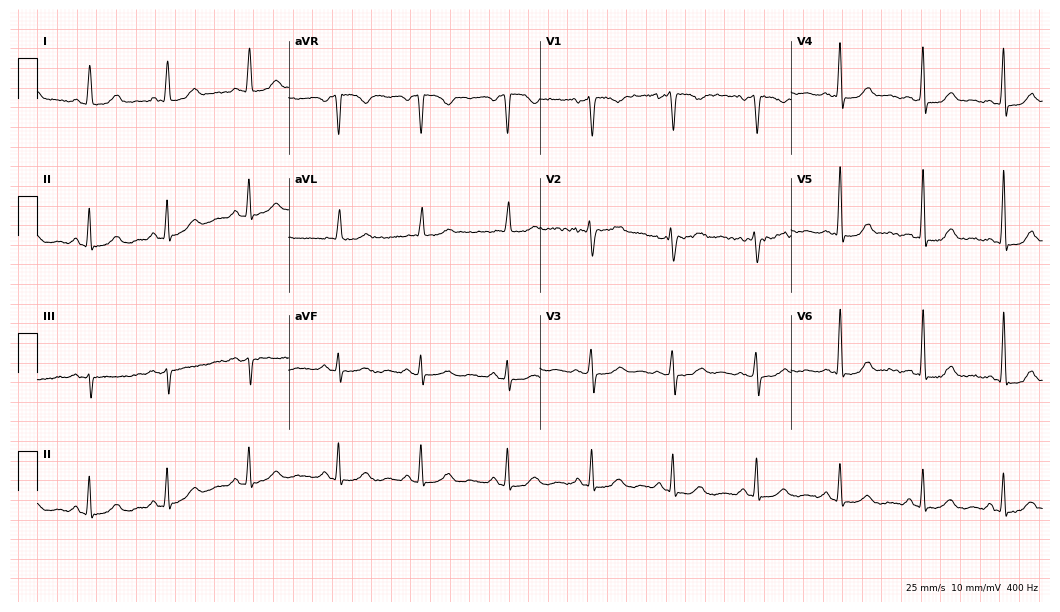
Resting 12-lead electrocardiogram. Patient: a male, 63 years old. Read as a normal ECG.